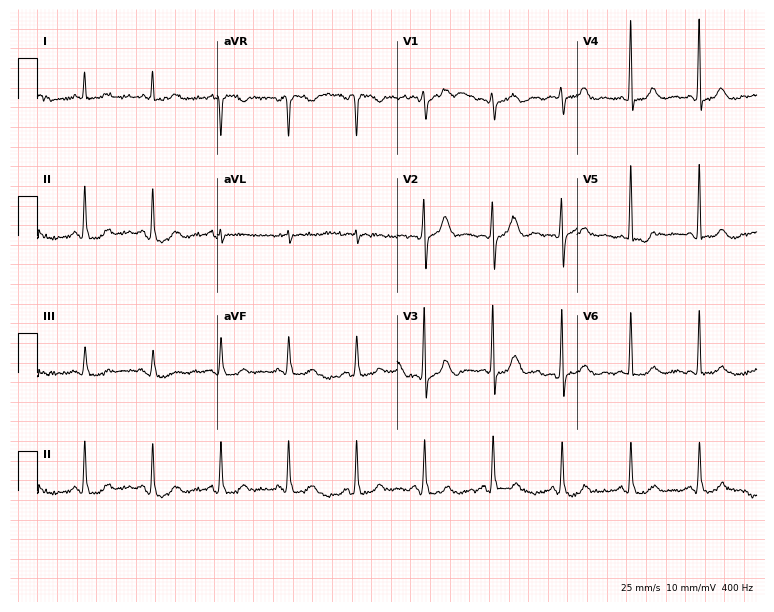
12-lead ECG from a male, 80 years old (7.3-second recording at 400 Hz). No first-degree AV block, right bundle branch block (RBBB), left bundle branch block (LBBB), sinus bradycardia, atrial fibrillation (AF) or sinus tachycardia recorded for this tracing. Only these six findings were labelled.